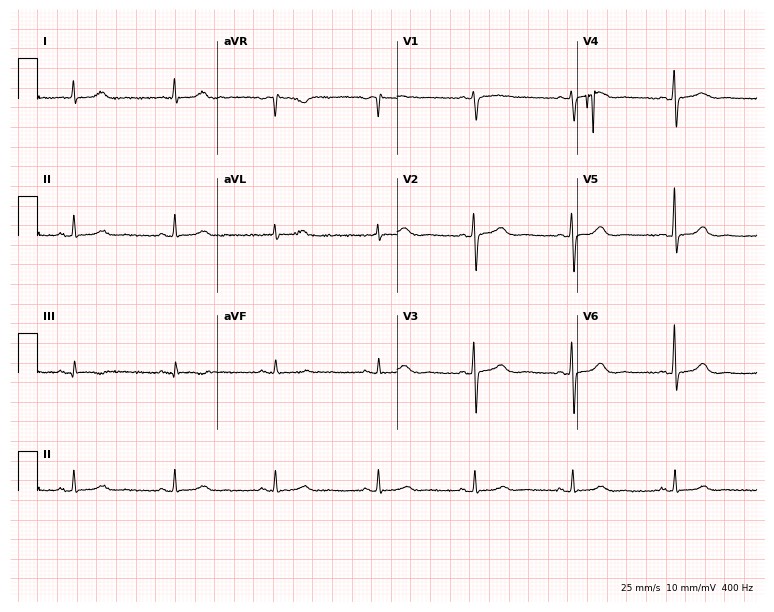
12-lead ECG from an 82-year-old woman. Labelled as a normal ECG.